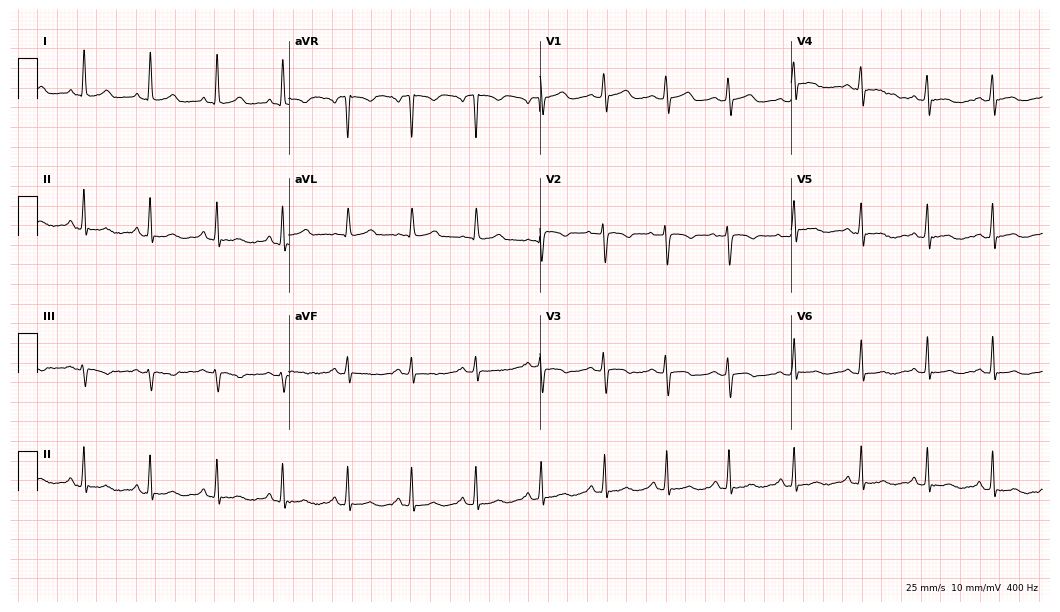
ECG — a female, 31 years old. Screened for six findings — first-degree AV block, right bundle branch block (RBBB), left bundle branch block (LBBB), sinus bradycardia, atrial fibrillation (AF), sinus tachycardia — none is recorded. Other findings, if any, are not listed.